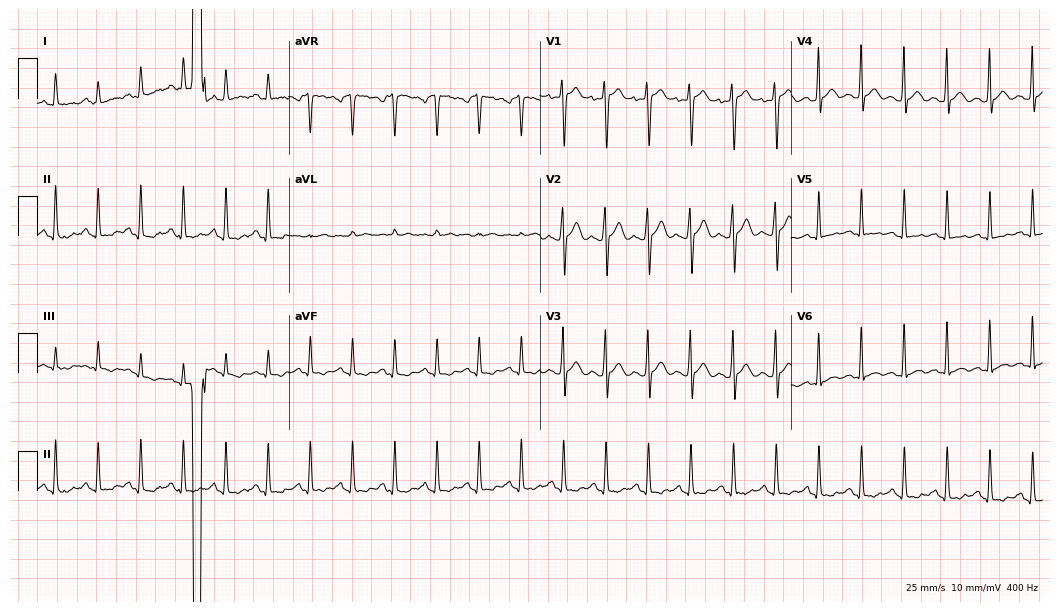
12-lead ECG from a 20-year-old woman (10.2-second recording at 400 Hz). No first-degree AV block, right bundle branch block, left bundle branch block, sinus bradycardia, atrial fibrillation or sinus tachycardia recorded for this tracing. Other findings, if any, are not listed.